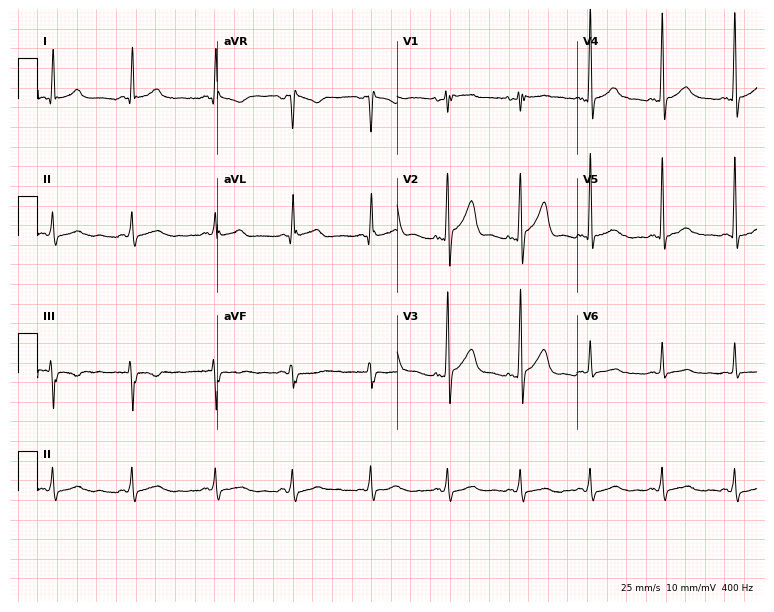
Resting 12-lead electrocardiogram. Patient: a 44-year-old male. Read as a normal ECG.